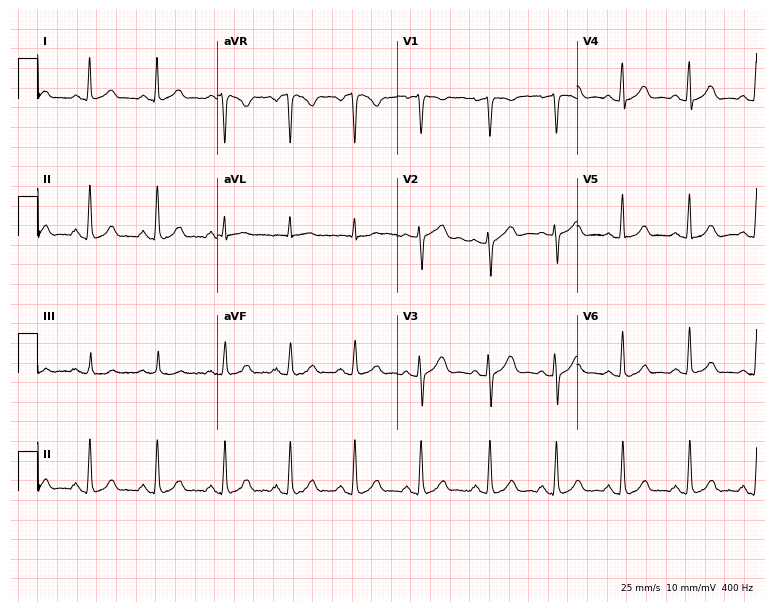
ECG — a 46-year-old female. Labelled as a normal ECG.